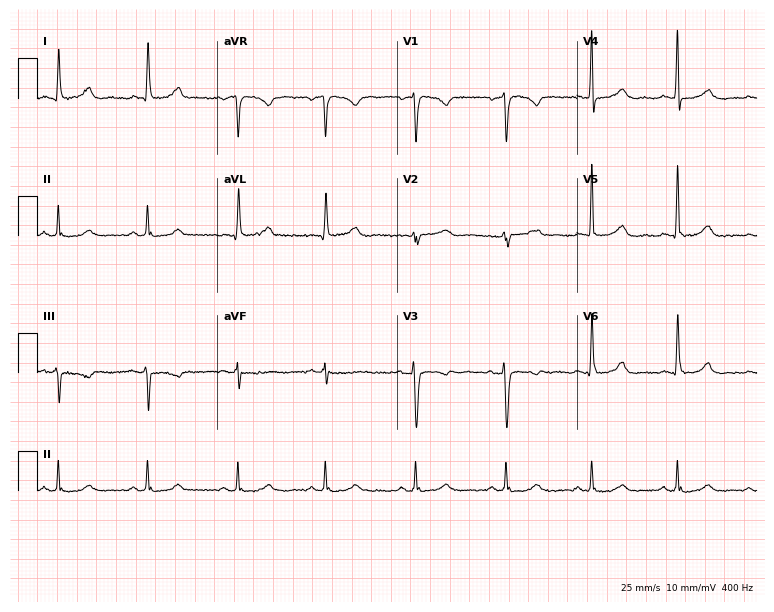
12-lead ECG (7.3-second recording at 400 Hz) from a 54-year-old female patient. Labelled as a normal ECG.